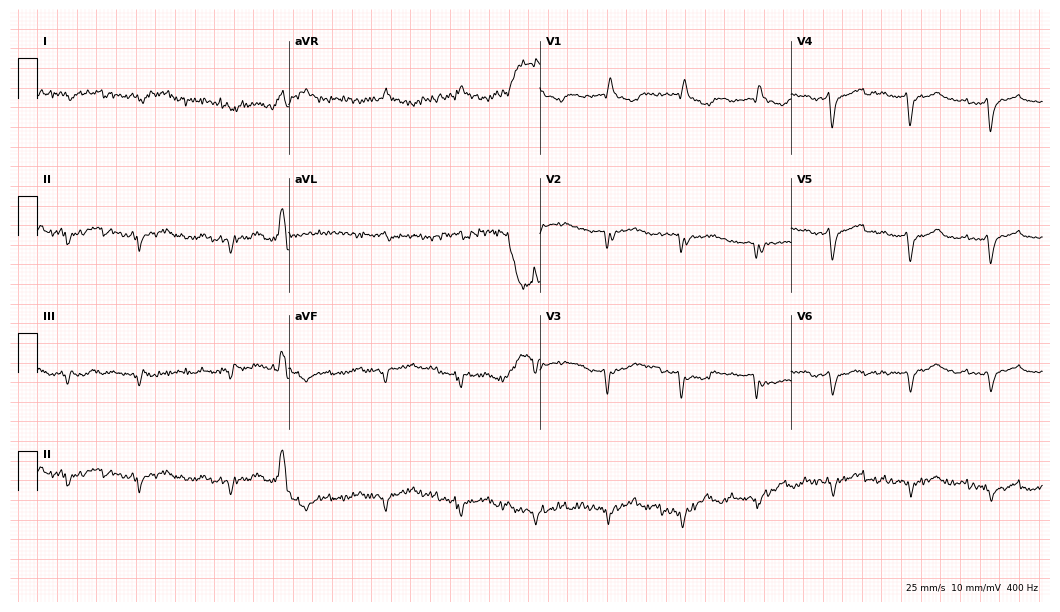
Standard 12-lead ECG recorded from a male, 77 years old (10.2-second recording at 400 Hz). None of these six findings is recorded: first-degree AV block, right bundle branch block, left bundle branch block, sinus bradycardia, atrial fibrillation, sinus tachycardia.